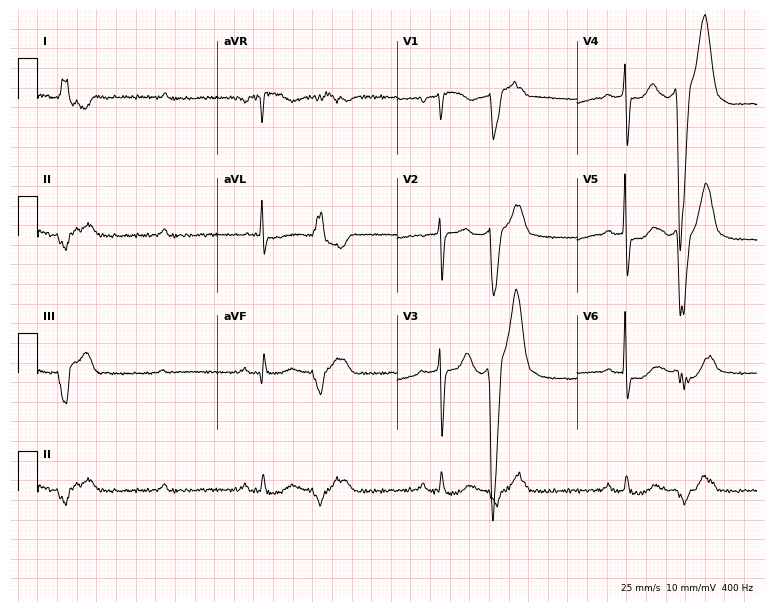
12-lead ECG from a 78-year-old male (7.3-second recording at 400 Hz). Shows first-degree AV block.